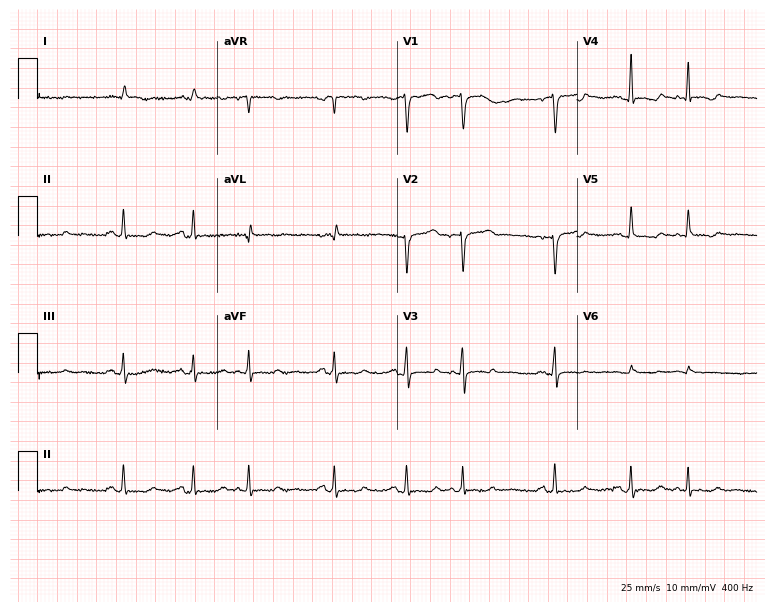
Standard 12-lead ECG recorded from a 61-year-old female (7.3-second recording at 400 Hz). None of these six findings is recorded: first-degree AV block, right bundle branch block, left bundle branch block, sinus bradycardia, atrial fibrillation, sinus tachycardia. Only these six findings were labelled.